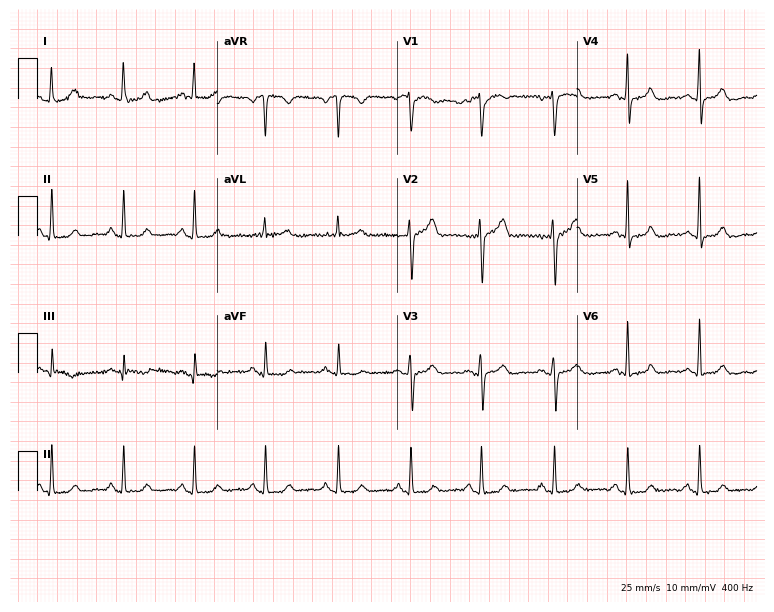
12-lead ECG from a female, 55 years old. Recorded interpretation: within normal limits.